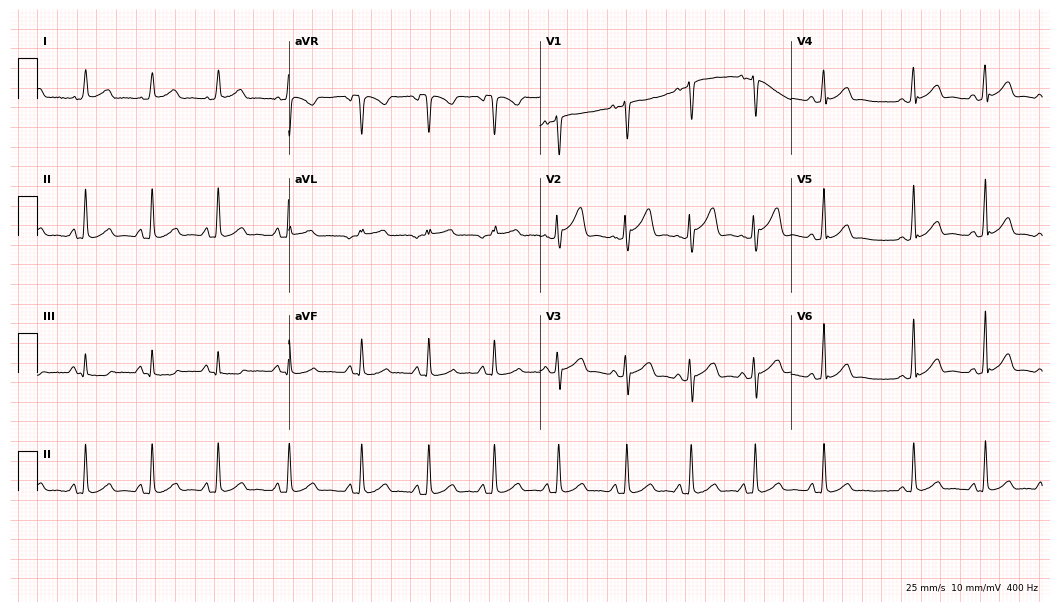
12-lead ECG (10.2-second recording at 400 Hz) from a 29-year-old woman. Labelled as a normal ECG.